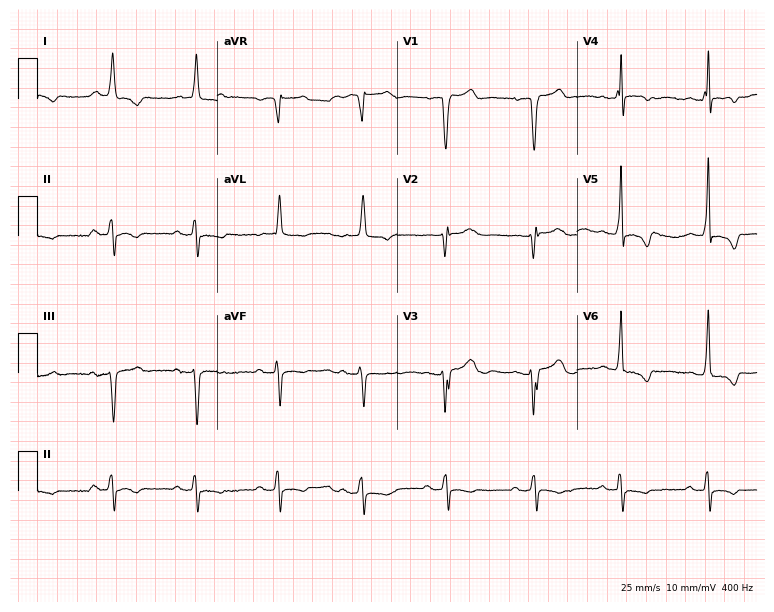
Standard 12-lead ECG recorded from a man, 78 years old (7.3-second recording at 400 Hz). None of these six findings is recorded: first-degree AV block, right bundle branch block (RBBB), left bundle branch block (LBBB), sinus bradycardia, atrial fibrillation (AF), sinus tachycardia.